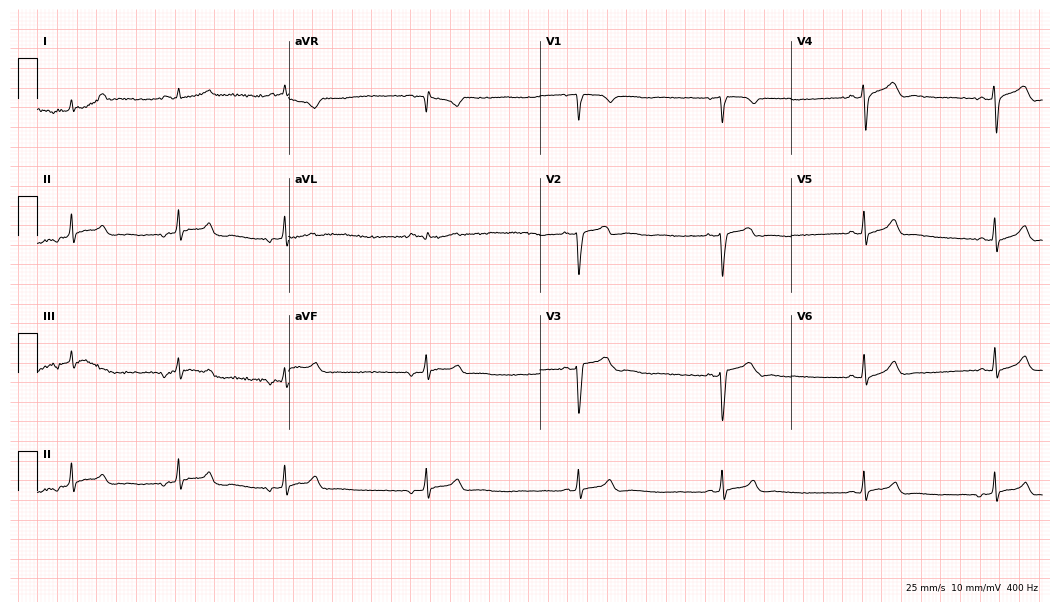
12-lead ECG from a 23-year-old female patient. Screened for six findings — first-degree AV block, right bundle branch block, left bundle branch block, sinus bradycardia, atrial fibrillation, sinus tachycardia — none is recorded.